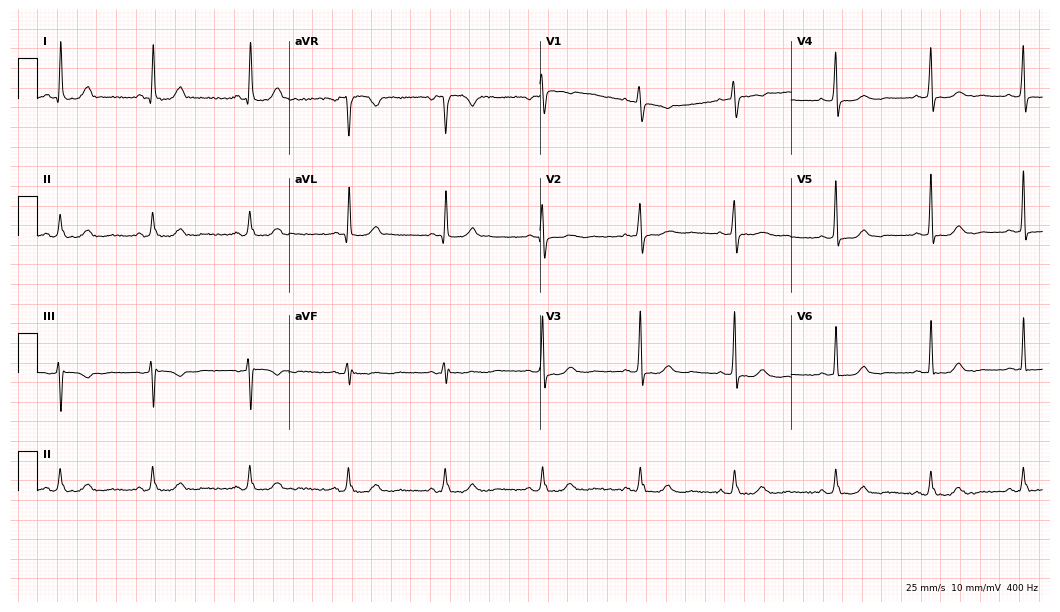
Resting 12-lead electrocardiogram. Patient: a 70-year-old woman. Read as a normal ECG.